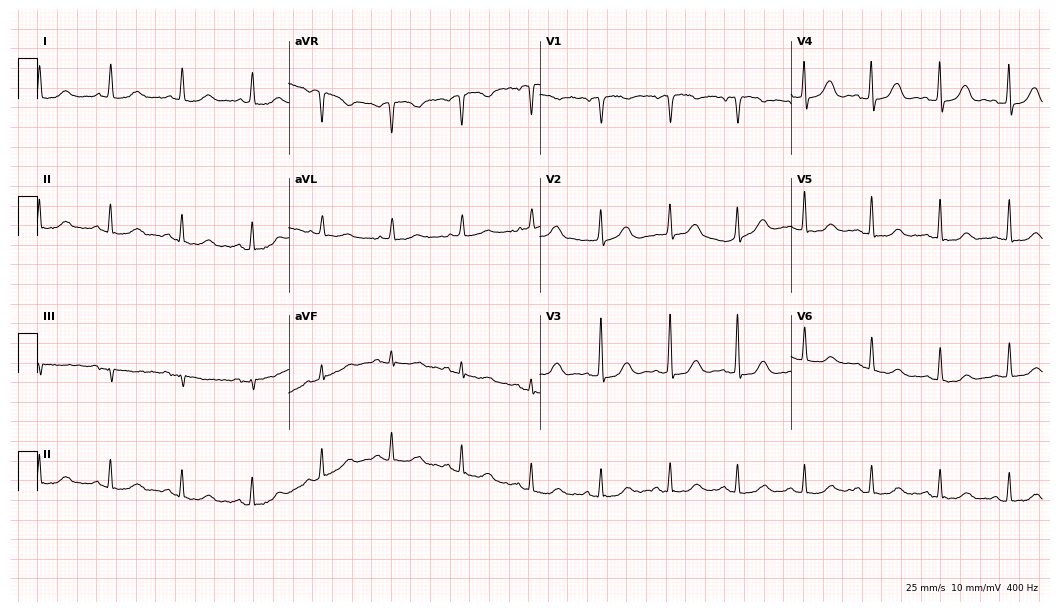
Resting 12-lead electrocardiogram (10.2-second recording at 400 Hz). Patient: a 72-year-old female. None of these six findings is recorded: first-degree AV block, right bundle branch block (RBBB), left bundle branch block (LBBB), sinus bradycardia, atrial fibrillation (AF), sinus tachycardia.